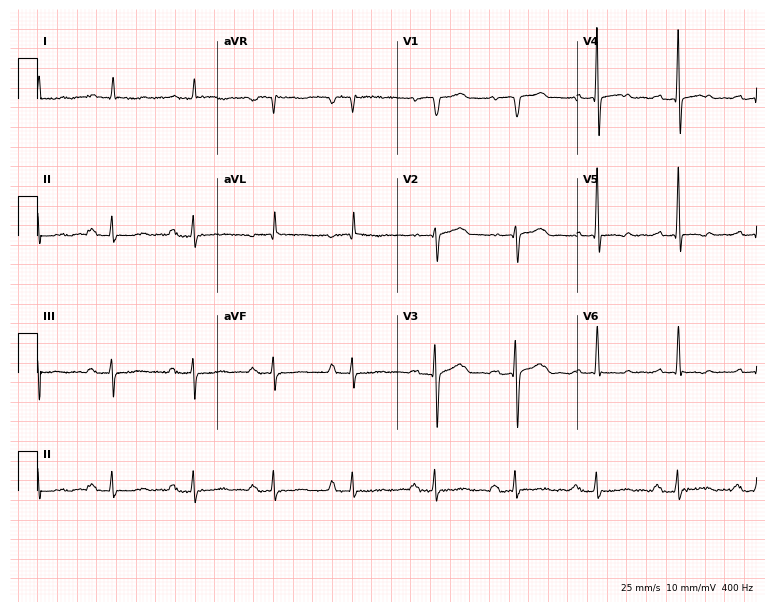
Resting 12-lead electrocardiogram. Patient: a man, 83 years old. The tracing shows first-degree AV block.